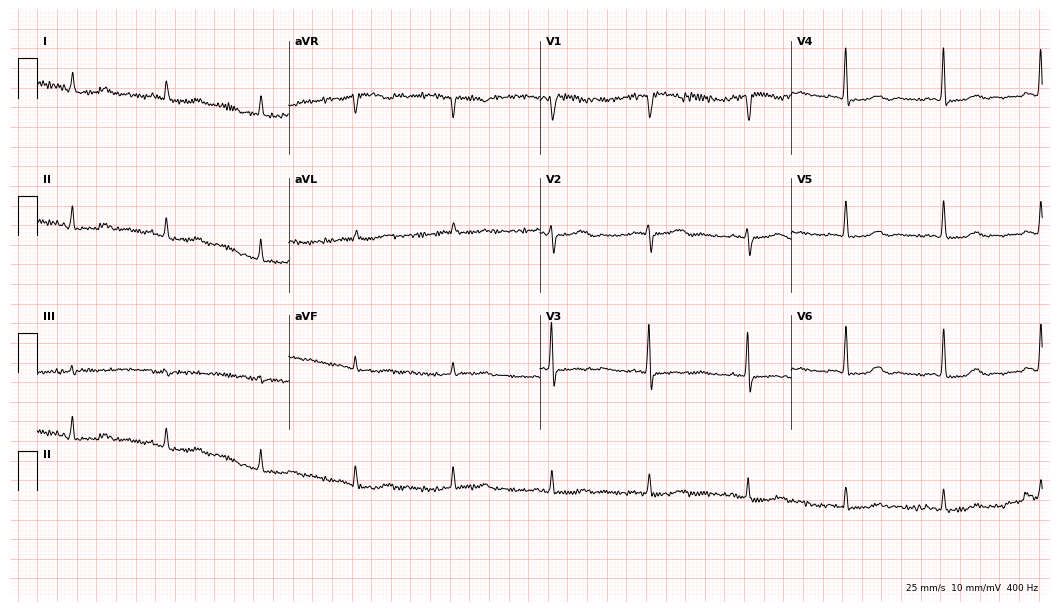
12-lead ECG from a woman, 81 years old. Recorded interpretation: within normal limits.